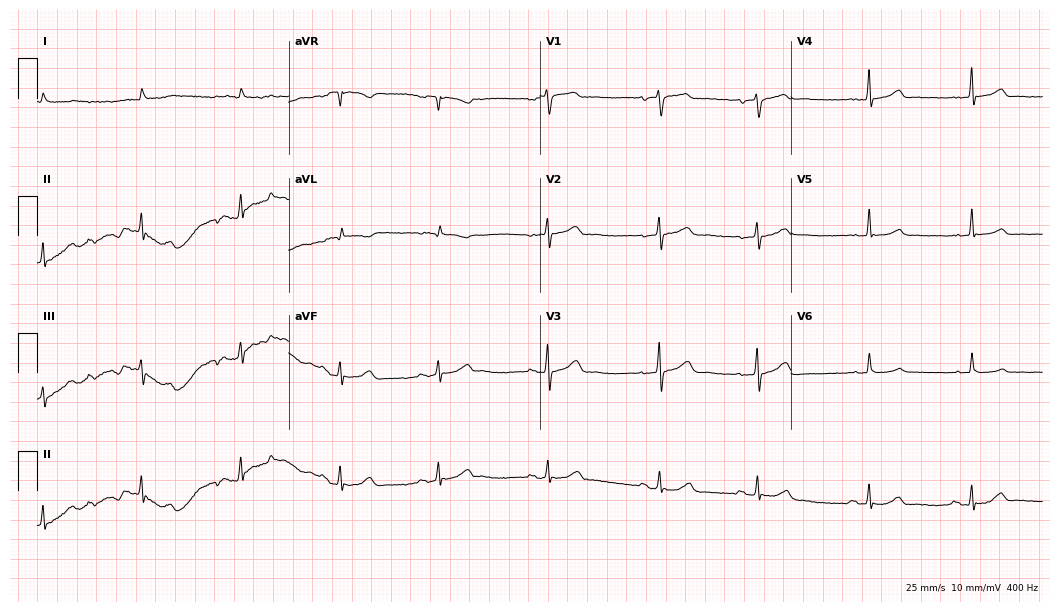
Standard 12-lead ECG recorded from a man, 77 years old (10.2-second recording at 400 Hz). Read as a normal ECG.